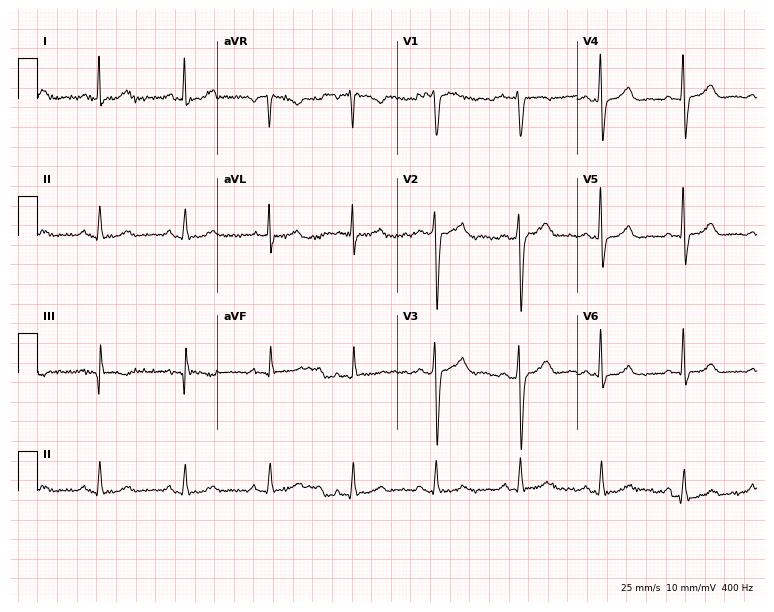
12-lead ECG from a woman, 46 years old. Screened for six findings — first-degree AV block, right bundle branch block (RBBB), left bundle branch block (LBBB), sinus bradycardia, atrial fibrillation (AF), sinus tachycardia — none is recorded. Findings outside these six are not listed.